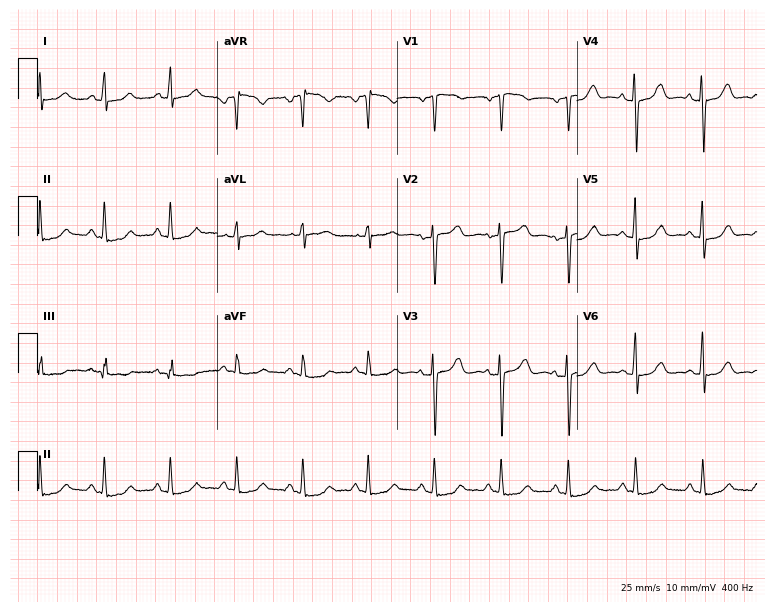
ECG (7.3-second recording at 400 Hz) — a 66-year-old female patient. Screened for six findings — first-degree AV block, right bundle branch block, left bundle branch block, sinus bradycardia, atrial fibrillation, sinus tachycardia — none is recorded.